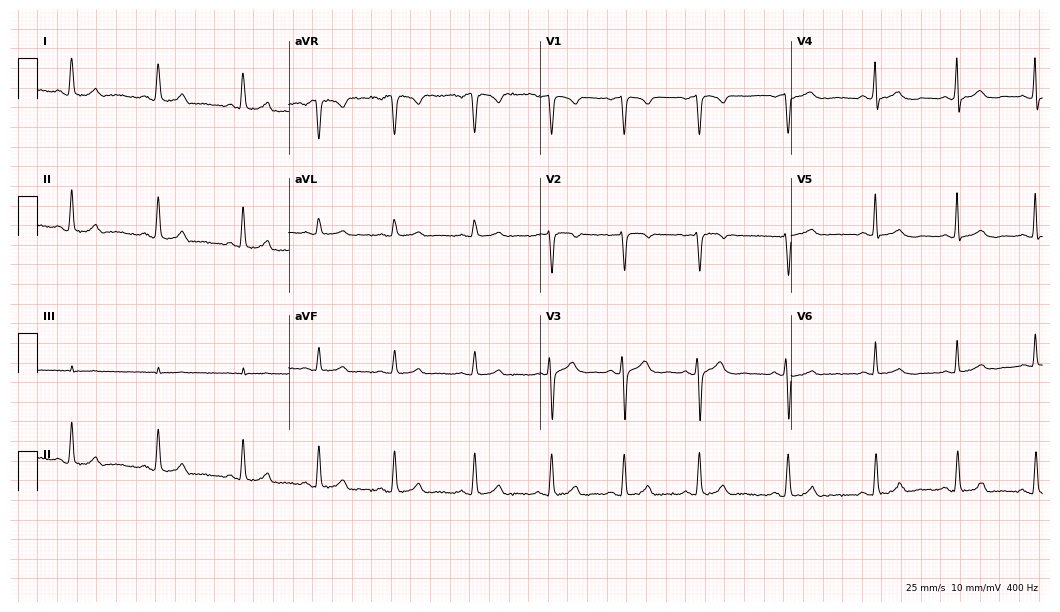
12-lead ECG from a 36-year-old woman. Labelled as a normal ECG.